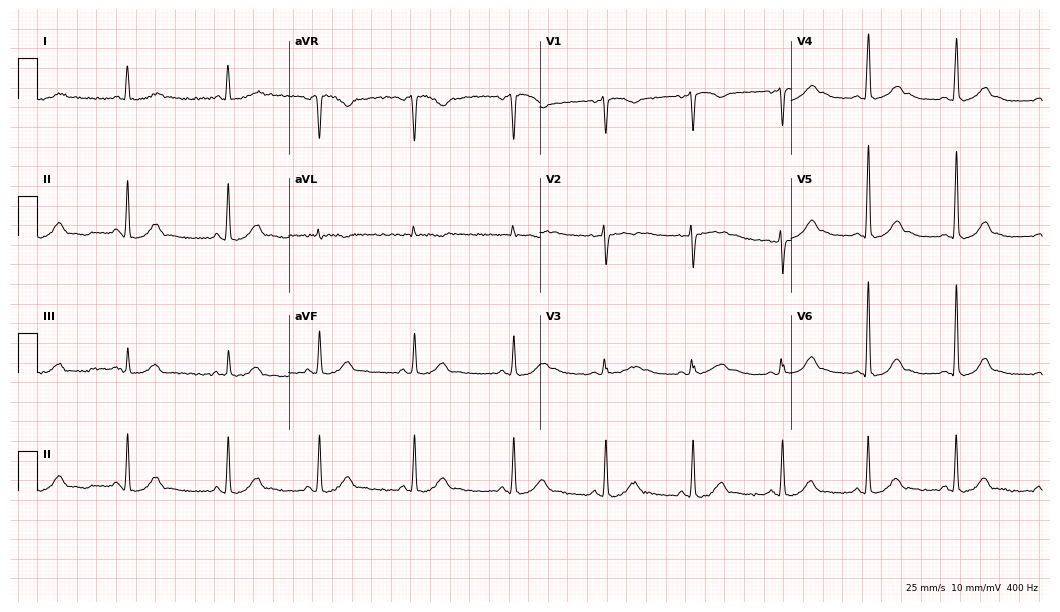
12-lead ECG (10.2-second recording at 400 Hz) from a woman, 31 years old. Labelled as a normal ECG.